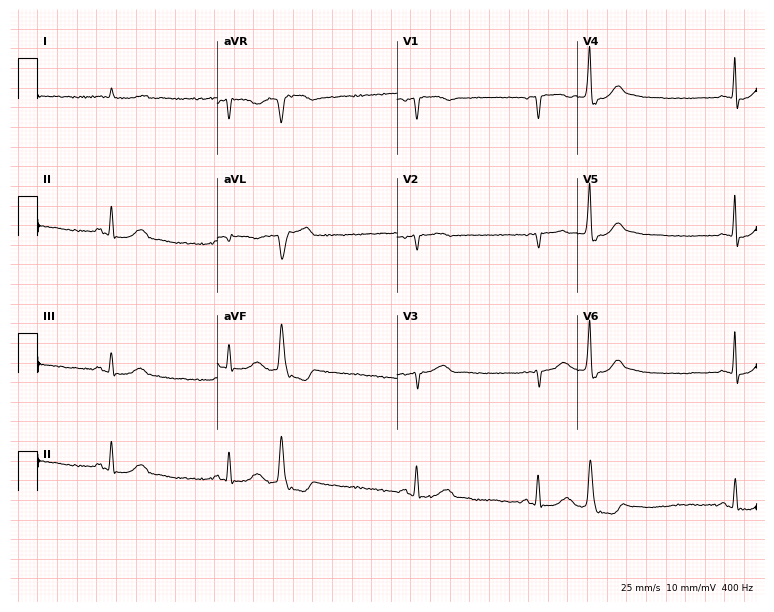
12-lead ECG (7.3-second recording at 400 Hz) from a male patient, 80 years old. Screened for six findings — first-degree AV block, right bundle branch block, left bundle branch block, sinus bradycardia, atrial fibrillation, sinus tachycardia — none is recorded. Other findings, if any, are not listed.